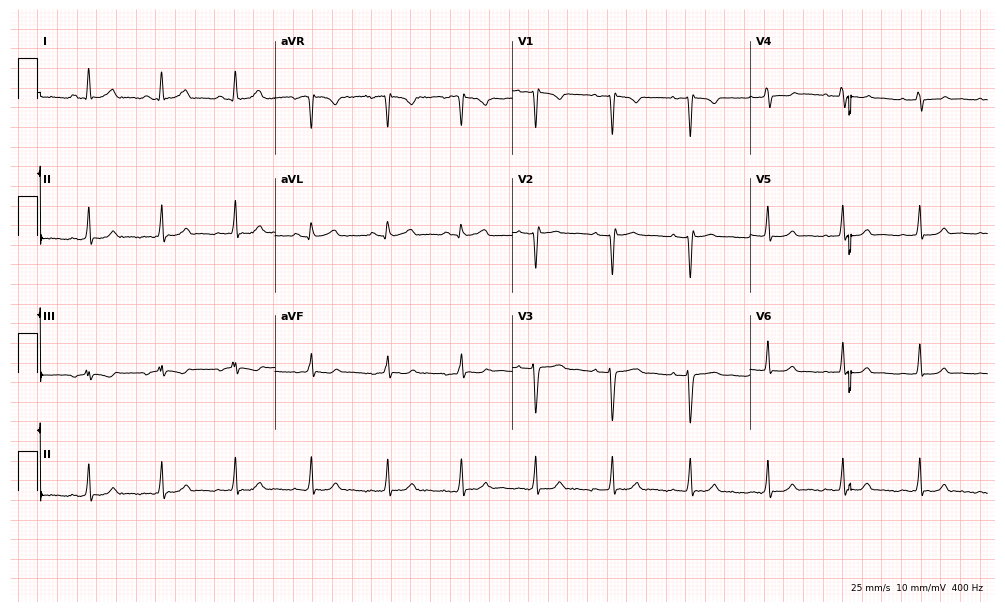
ECG — a female patient, 29 years old. Screened for six findings — first-degree AV block, right bundle branch block, left bundle branch block, sinus bradycardia, atrial fibrillation, sinus tachycardia — none is recorded.